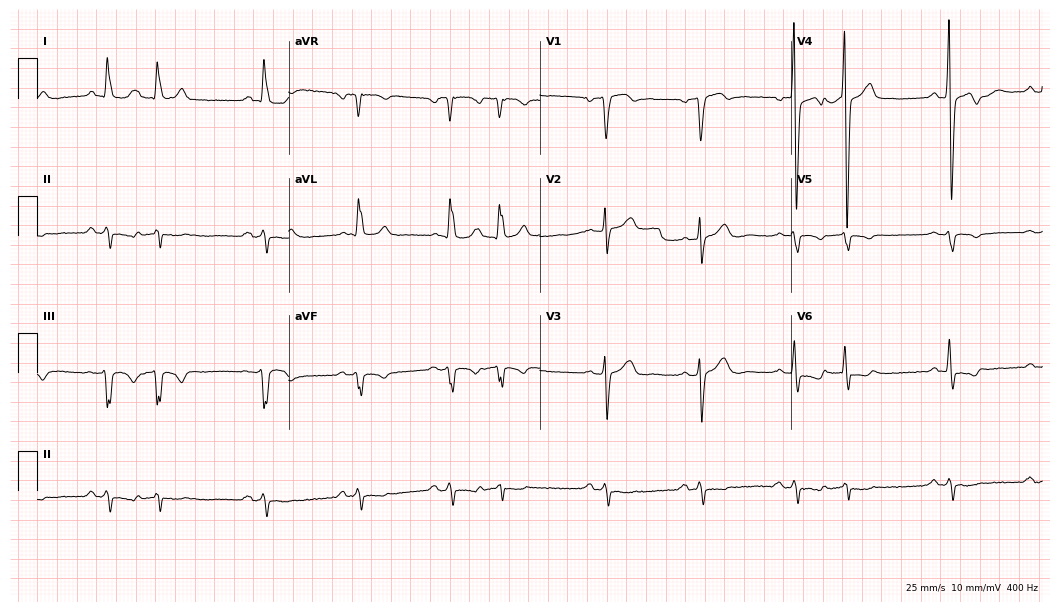
Standard 12-lead ECG recorded from a male, 77 years old. None of these six findings is recorded: first-degree AV block, right bundle branch block, left bundle branch block, sinus bradycardia, atrial fibrillation, sinus tachycardia.